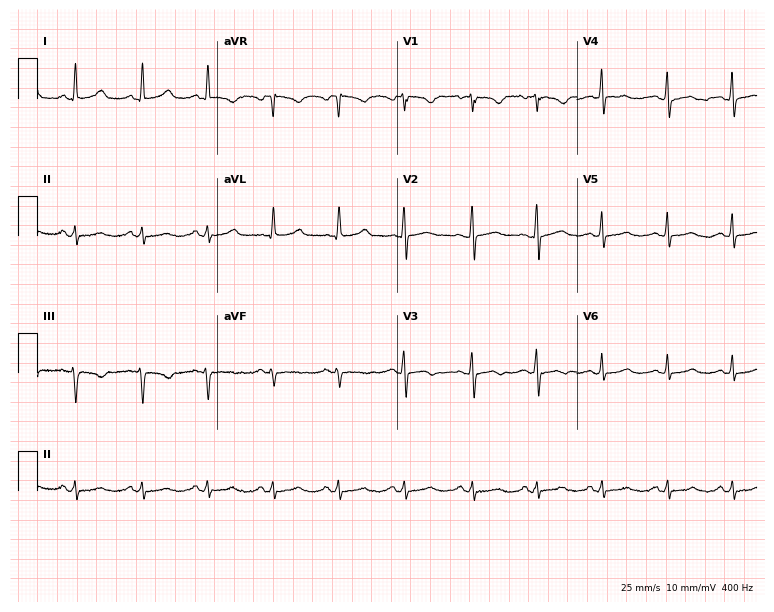
Electrocardiogram, a female patient, 51 years old. Of the six screened findings (first-degree AV block, right bundle branch block (RBBB), left bundle branch block (LBBB), sinus bradycardia, atrial fibrillation (AF), sinus tachycardia), none is recorded.